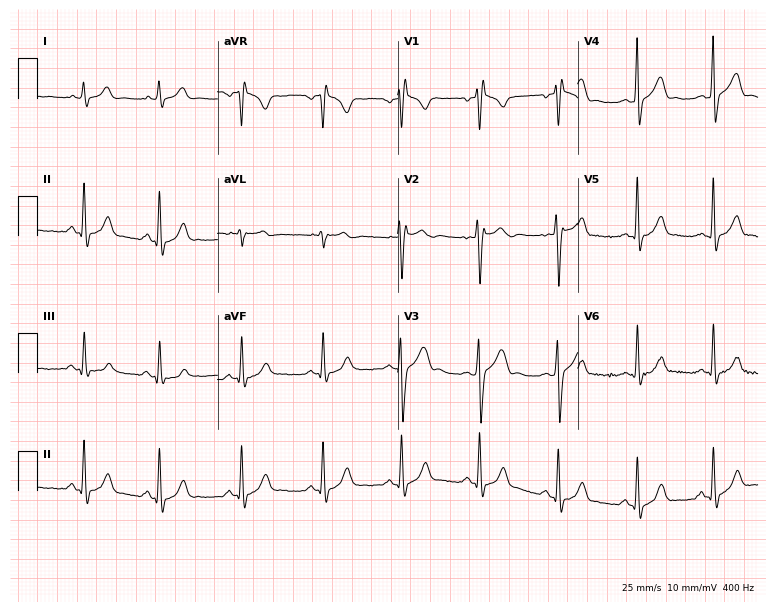
12-lead ECG from a male patient, 19 years old. No first-degree AV block, right bundle branch block, left bundle branch block, sinus bradycardia, atrial fibrillation or sinus tachycardia recorded for this tracing. Findings outside these six are not listed.